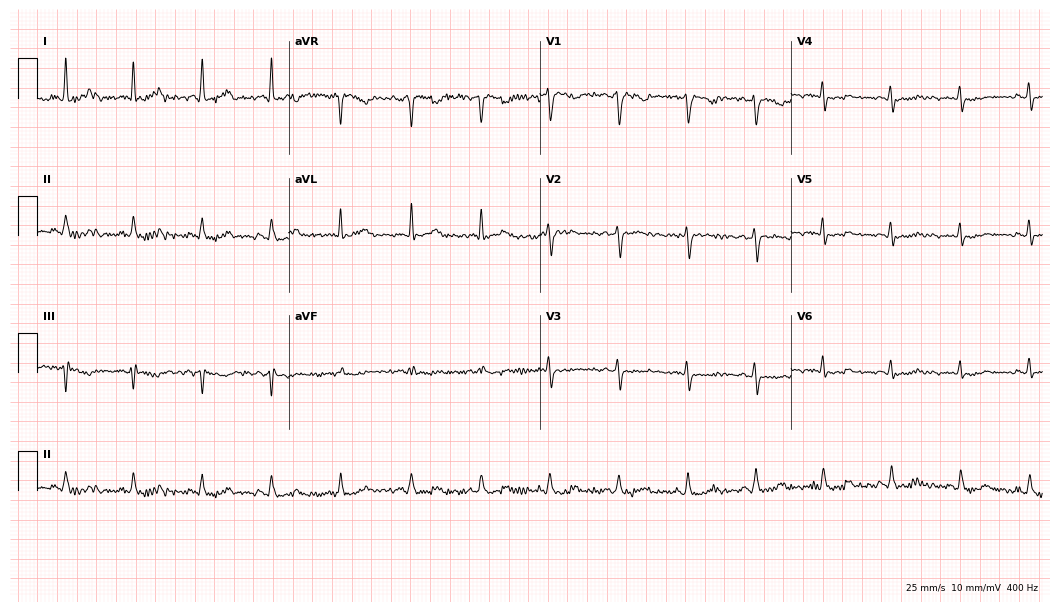
Electrocardiogram, a woman, 39 years old. Of the six screened findings (first-degree AV block, right bundle branch block, left bundle branch block, sinus bradycardia, atrial fibrillation, sinus tachycardia), none is recorded.